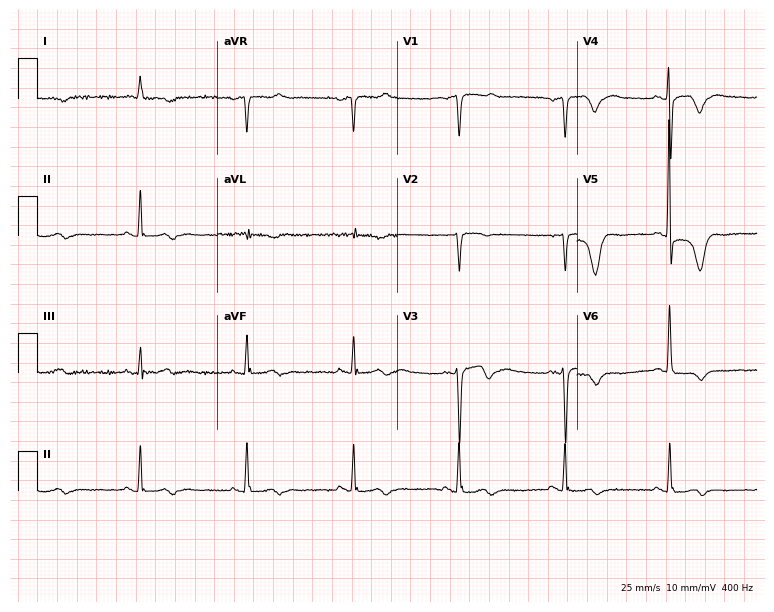
Electrocardiogram (7.3-second recording at 400 Hz), a female, 85 years old. Of the six screened findings (first-degree AV block, right bundle branch block (RBBB), left bundle branch block (LBBB), sinus bradycardia, atrial fibrillation (AF), sinus tachycardia), none is recorded.